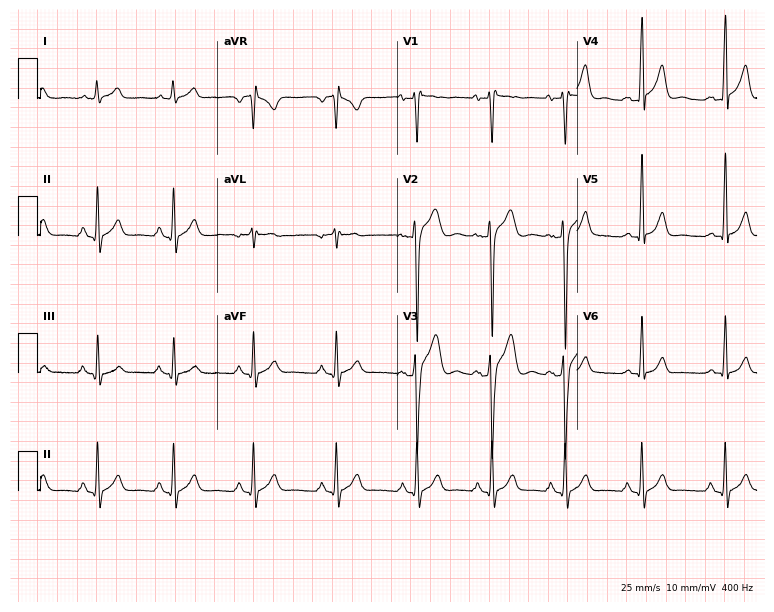
Electrocardiogram, a 22-year-old male. Of the six screened findings (first-degree AV block, right bundle branch block, left bundle branch block, sinus bradycardia, atrial fibrillation, sinus tachycardia), none is recorded.